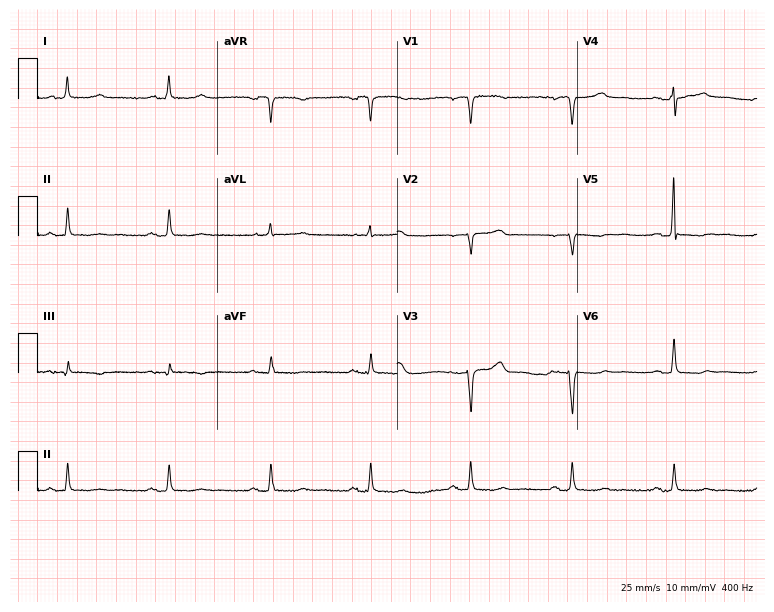
12-lead ECG from an 80-year-old female. Screened for six findings — first-degree AV block, right bundle branch block, left bundle branch block, sinus bradycardia, atrial fibrillation, sinus tachycardia — none is recorded. Only these six findings were labelled.